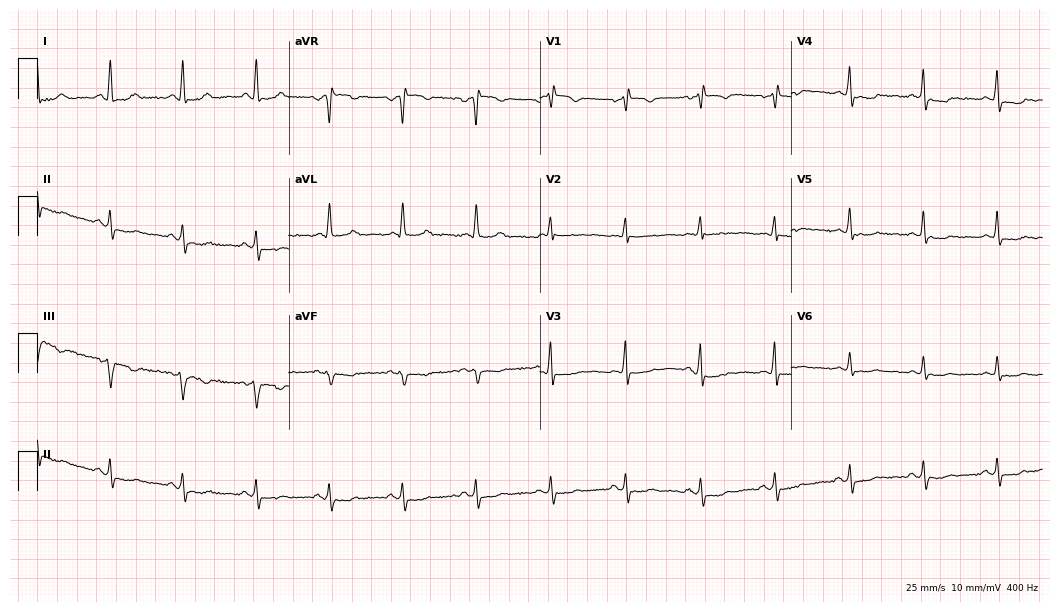
12-lead ECG from a 63-year-old female (10.2-second recording at 400 Hz). No first-degree AV block, right bundle branch block, left bundle branch block, sinus bradycardia, atrial fibrillation or sinus tachycardia recorded for this tracing. Other findings, if any, are not listed.